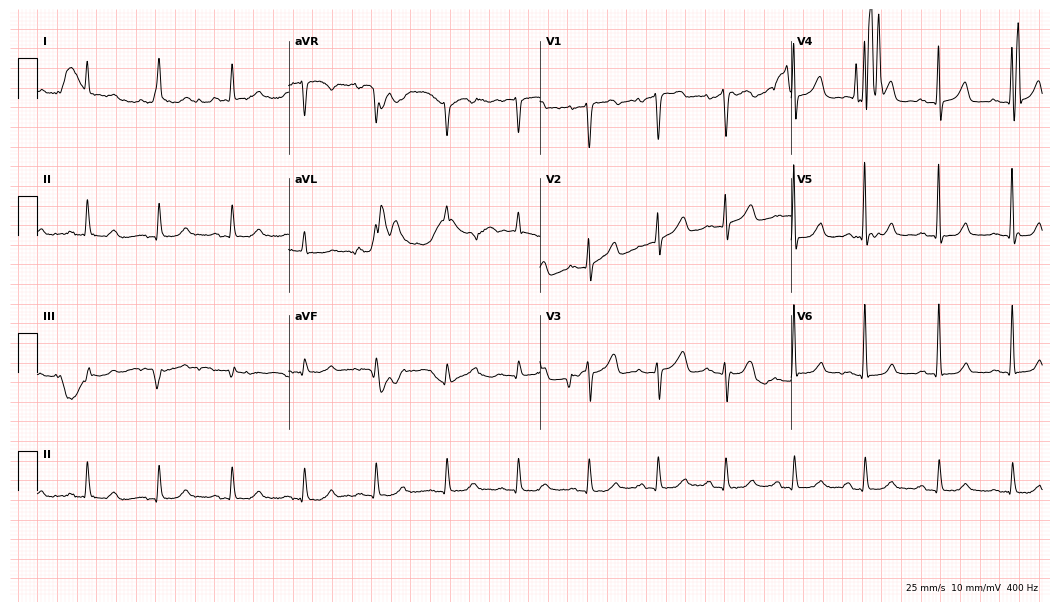
Standard 12-lead ECG recorded from a 69-year-old female (10.2-second recording at 400 Hz). None of these six findings is recorded: first-degree AV block, right bundle branch block, left bundle branch block, sinus bradycardia, atrial fibrillation, sinus tachycardia. Other findings, if any, are not listed.